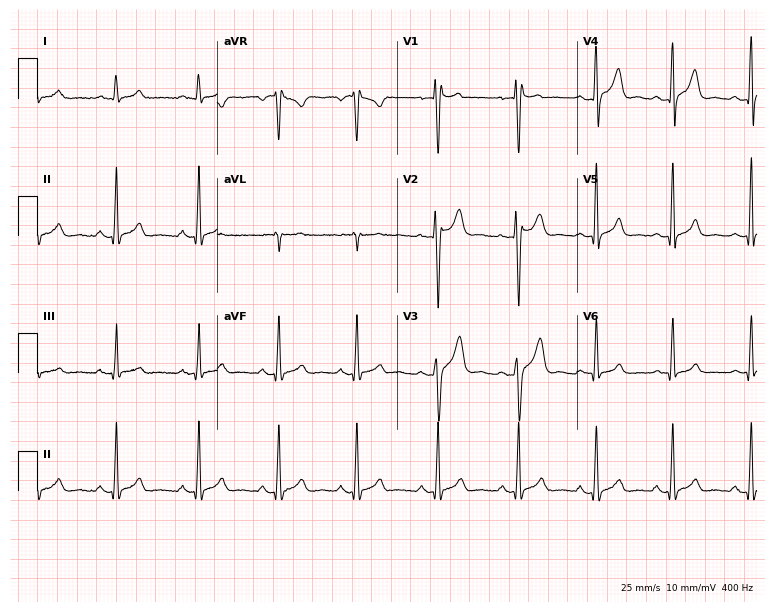
Resting 12-lead electrocardiogram (7.3-second recording at 400 Hz). Patient: a man, 20 years old. None of these six findings is recorded: first-degree AV block, right bundle branch block, left bundle branch block, sinus bradycardia, atrial fibrillation, sinus tachycardia. Other findings, if any, are not listed.